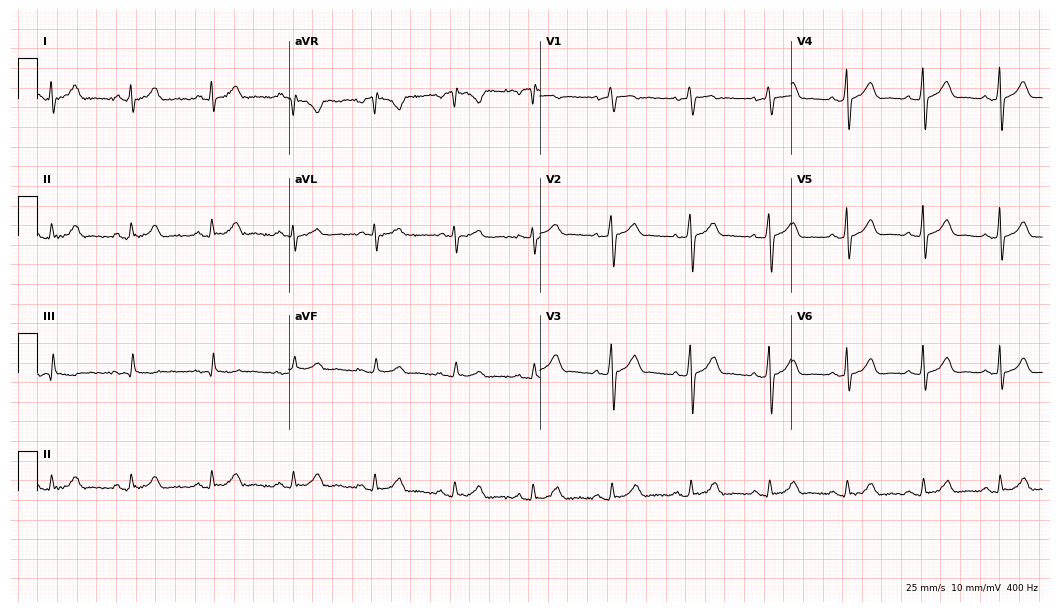
Resting 12-lead electrocardiogram. Patient: a man, 44 years old. Read as a normal ECG.